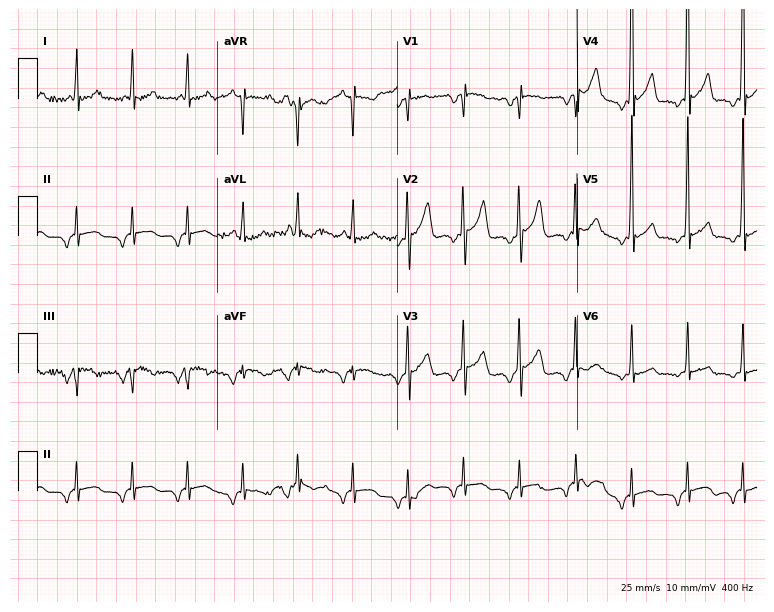
12-lead ECG from a male patient, 47 years old. Findings include sinus tachycardia (a sinus rate of 100 beats per minute or more).